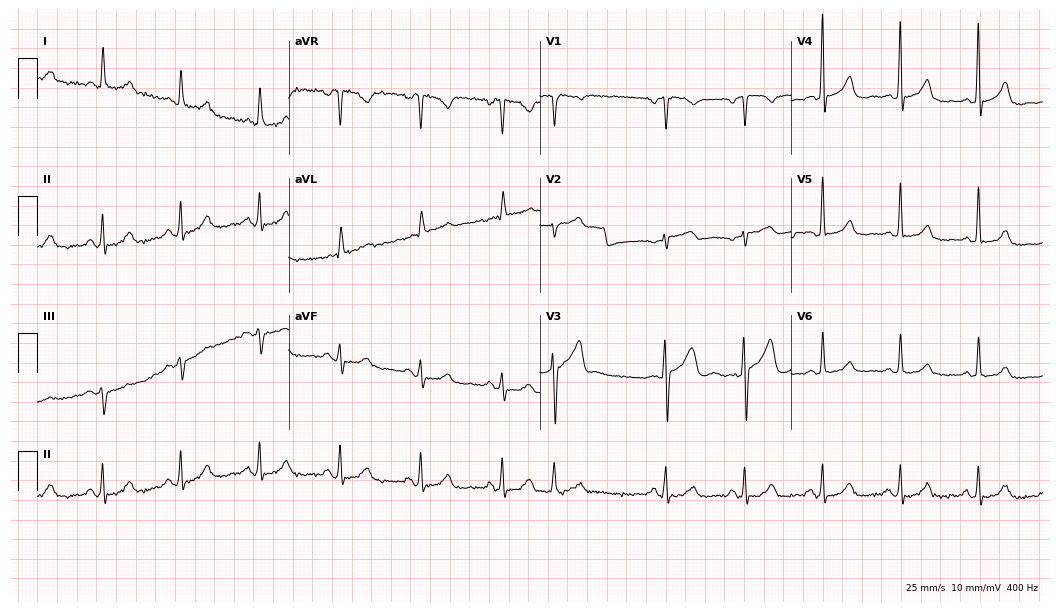
12-lead ECG (10.2-second recording at 400 Hz) from a man, 71 years old. Screened for six findings — first-degree AV block, right bundle branch block (RBBB), left bundle branch block (LBBB), sinus bradycardia, atrial fibrillation (AF), sinus tachycardia — none is recorded.